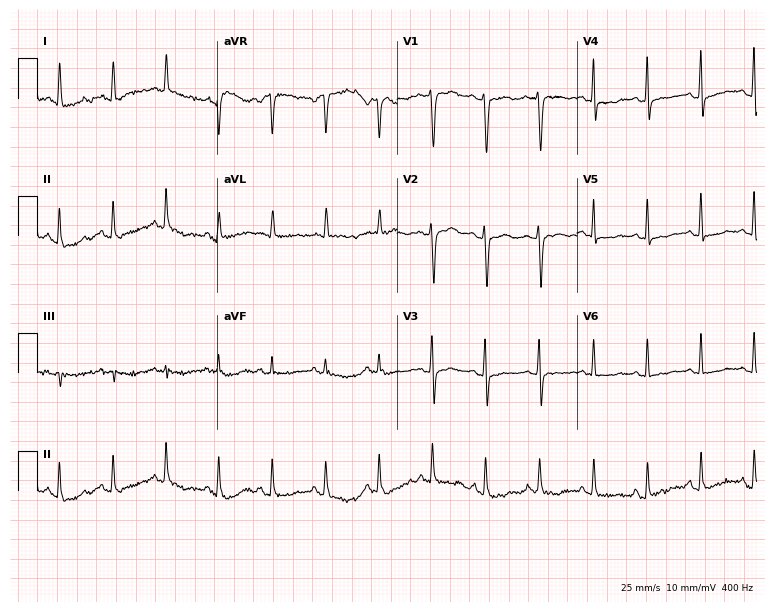
Electrocardiogram (7.3-second recording at 400 Hz), a female patient, 47 years old. Interpretation includes sinus tachycardia (a sinus rate of 100 beats per minute or more).